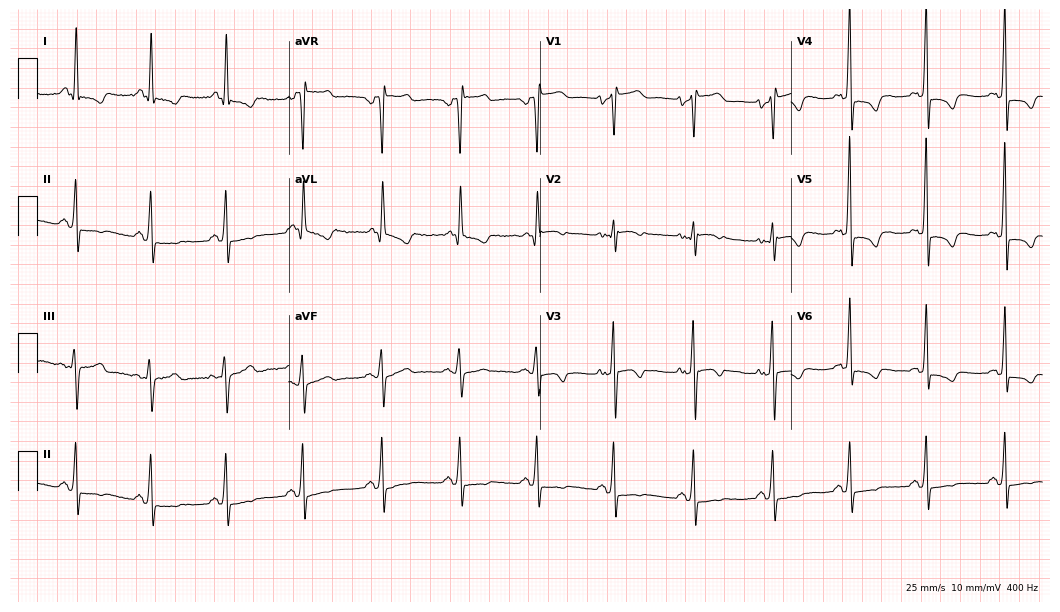
12-lead ECG from a female, 63 years old. Screened for six findings — first-degree AV block, right bundle branch block, left bundle branch block, sinus bradycardia, atrial fibrillation, sinus tachycardia — none is recorded.